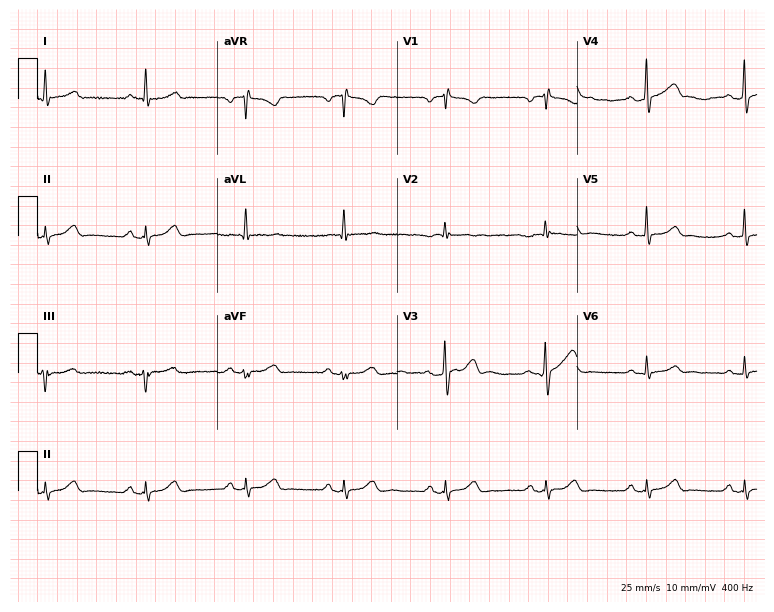
ECG — a 77-year-old male. Labelled as a normal ECG.